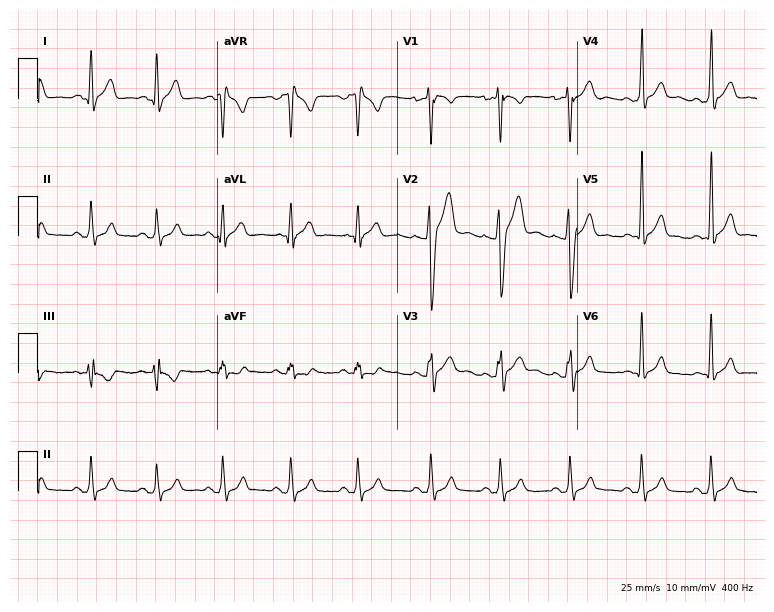
Electrocardiogram (7.3-second recording at 400 Hz), a male patient, 21 years old. Overall reading on record: normal ECG.